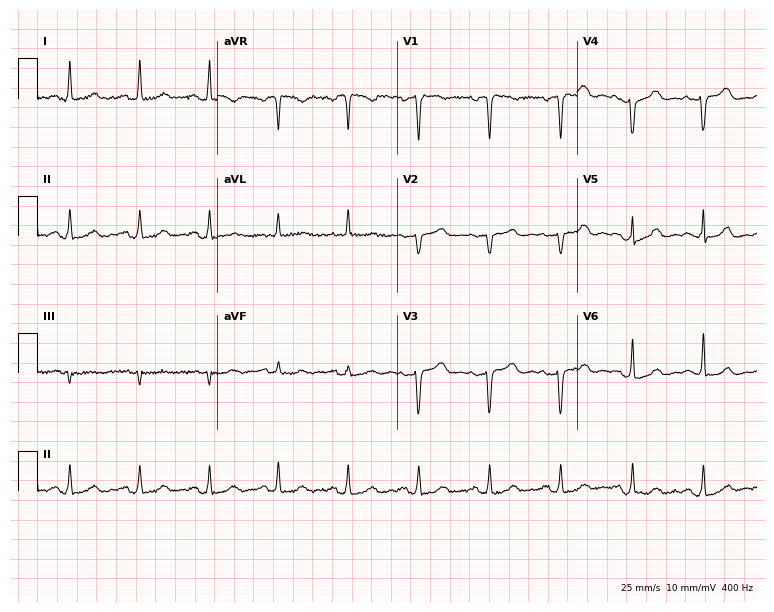
12-lead ECG (7.3-second recording at 400 Hz) from a 61-year-old woman. Labelled as a normal ECG.